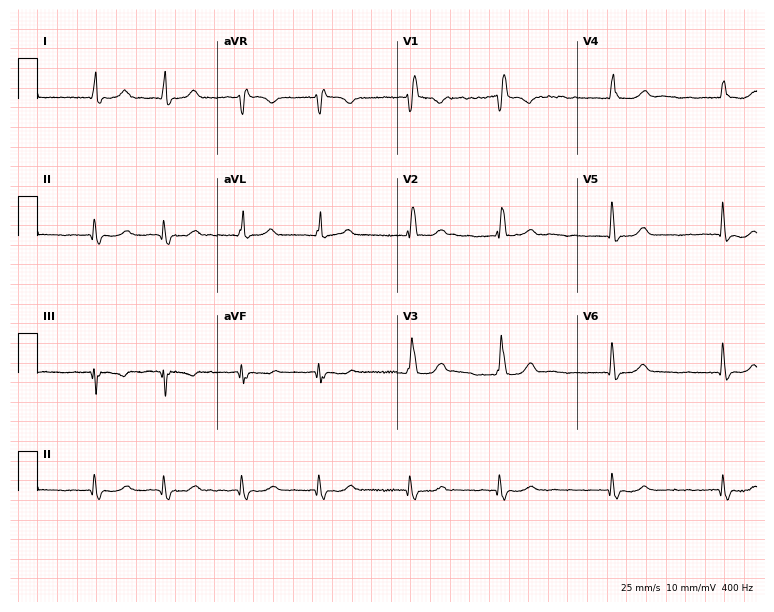
12-lead ECG from a woman, 75 years old. Shows right bundle branch block (RBBB), atrial fibrillation (AF).